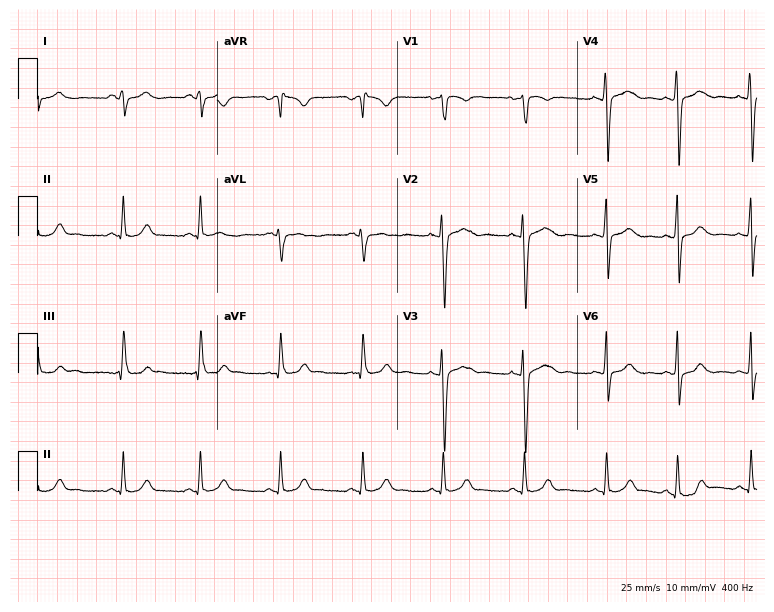
ECG — a 23-year-old female. Screened for six findings — first-degree AV block, right bundle branch block, left bundle branch block, sinus bradycardia, atrial fibrillation, sinus tachycardia — none is recorded. Findings outside these six are not listed.